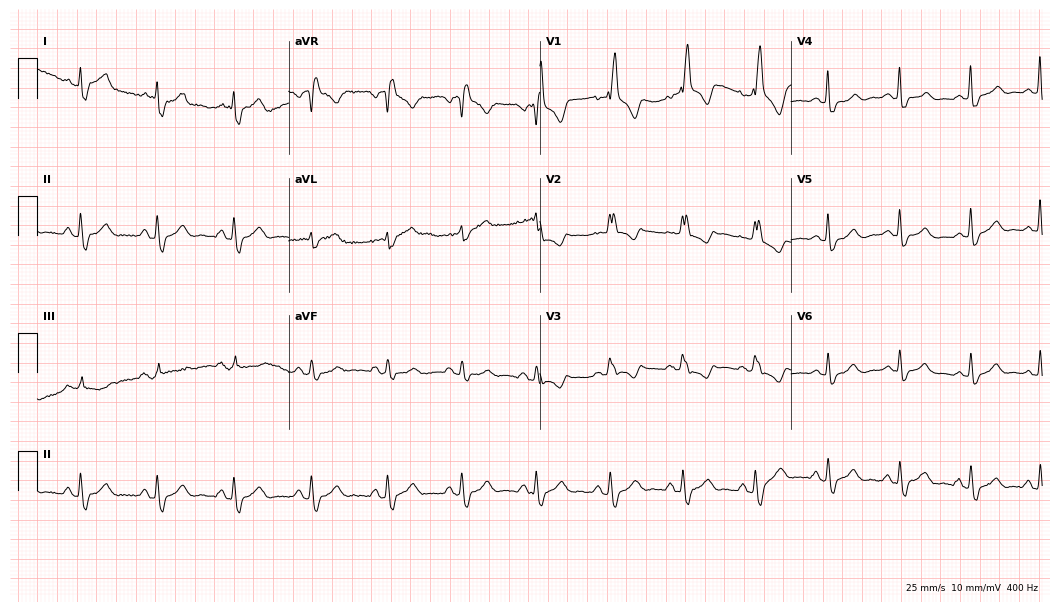
Resting 12-lead electrocardiogram (10.2-second recording at 400 Hz). Patient: a 51-year-old female. The tracing shows right bundle branch block.